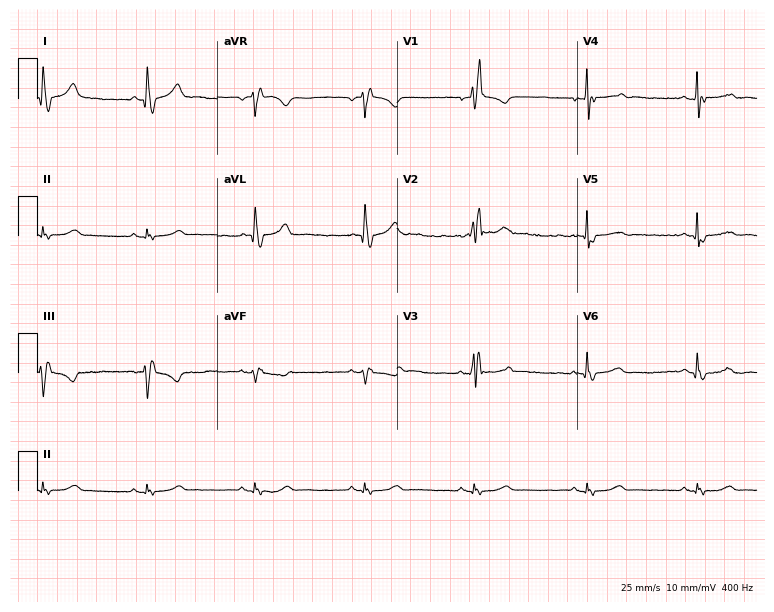
Standard 12-lead ECG recorded from a 79-year-old man. The tracing shows right bundle branch block.